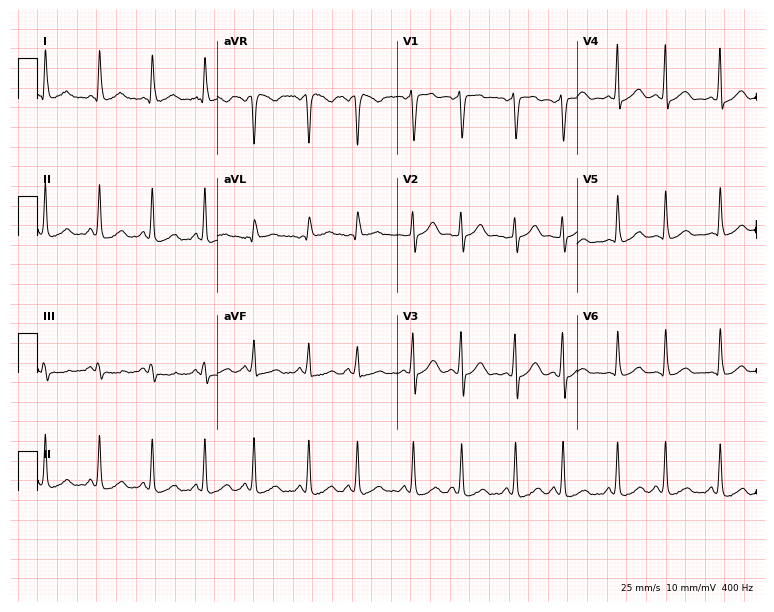
ECG (7.3-second recording at 400 Hz) — a woman, 37 years old. Screened for six findings — first-degree AV block, right bundle branch block, left bundle branch block, sinus bradycardia, atrial fibrillation, sinus tachycardia — none is recorded. Only these six findings were labelled.